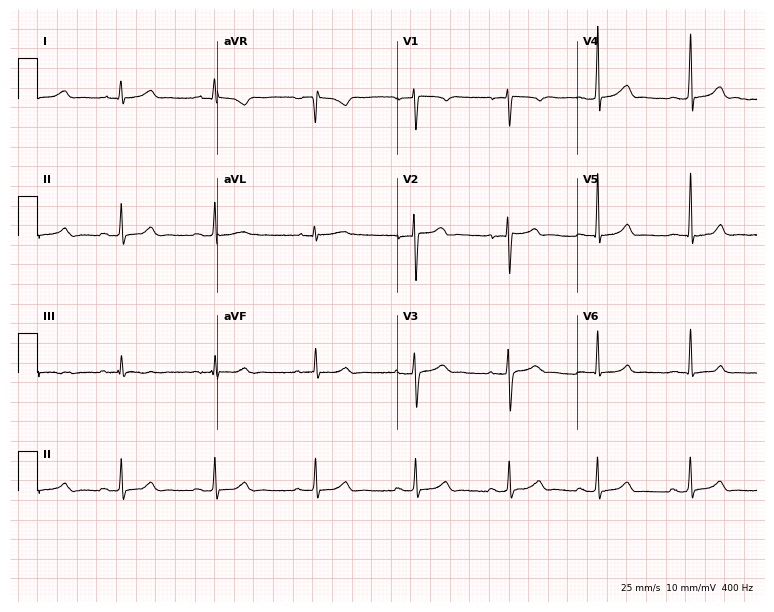
Standard 12-lead ECG recorded from a male patient, 17 years old. Read as a normal ECG.